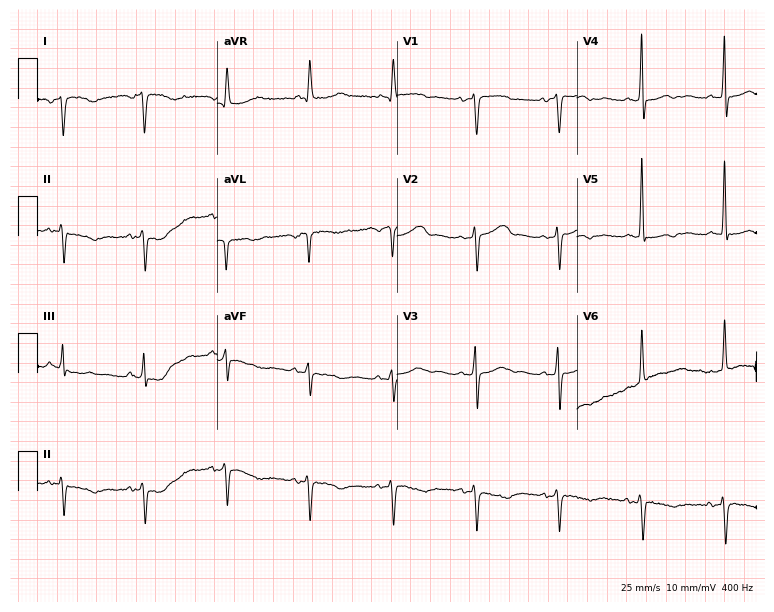
Resting 12-lead electrocardiogram (7.3-second recording at 400 Hz). Patient: a female, 65 years old. None of these six findings is recorded: first-degree AV block, right bundle branch block, left bundle branch block, sinus bradycardia, atrial fibrillation, sinus tachycardia.